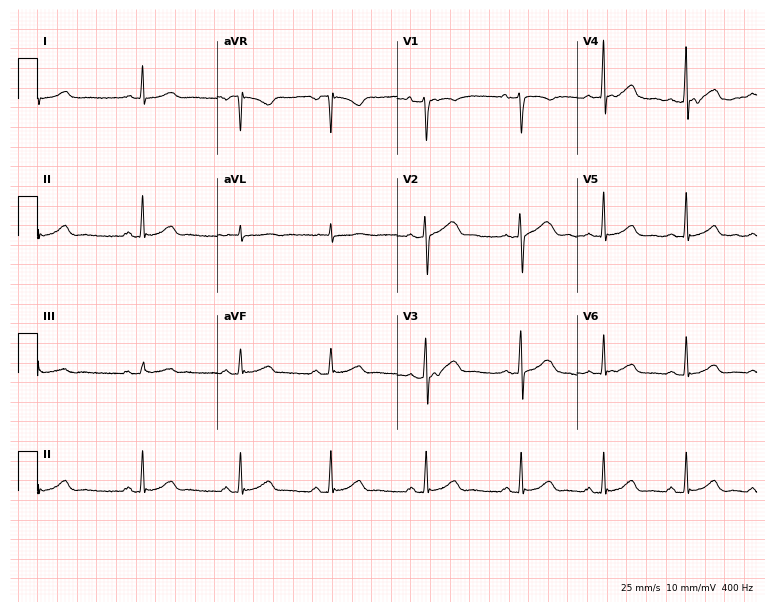
ECG (7.3-second recording at 400 Hz) — a female, 20 years old. Screened for six findings — first-degree AV block, right bundle branch block, left bundle branch block, sinus bradycardia, atrial fibrillation, sinus tachycardia — none is recorded.